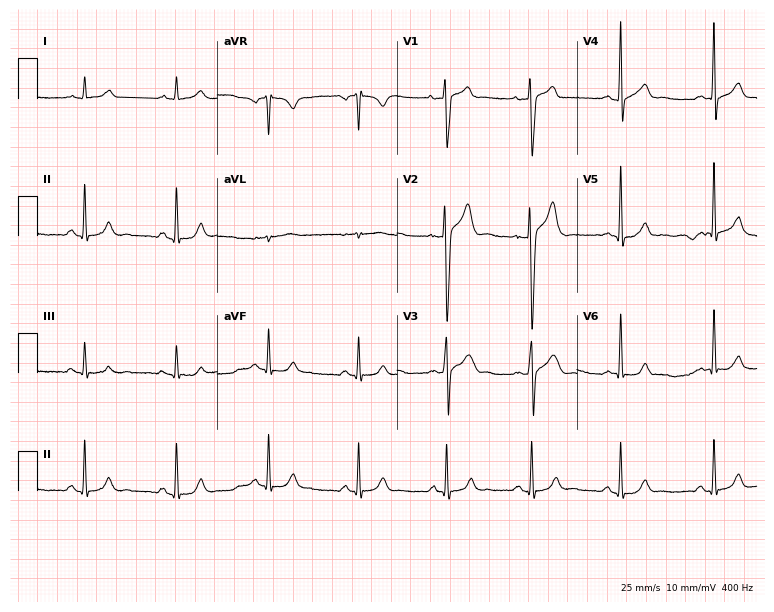
Resting 12-lead electrocardiogram. Patient: a male, 31 years old. Read as a normal ECG.